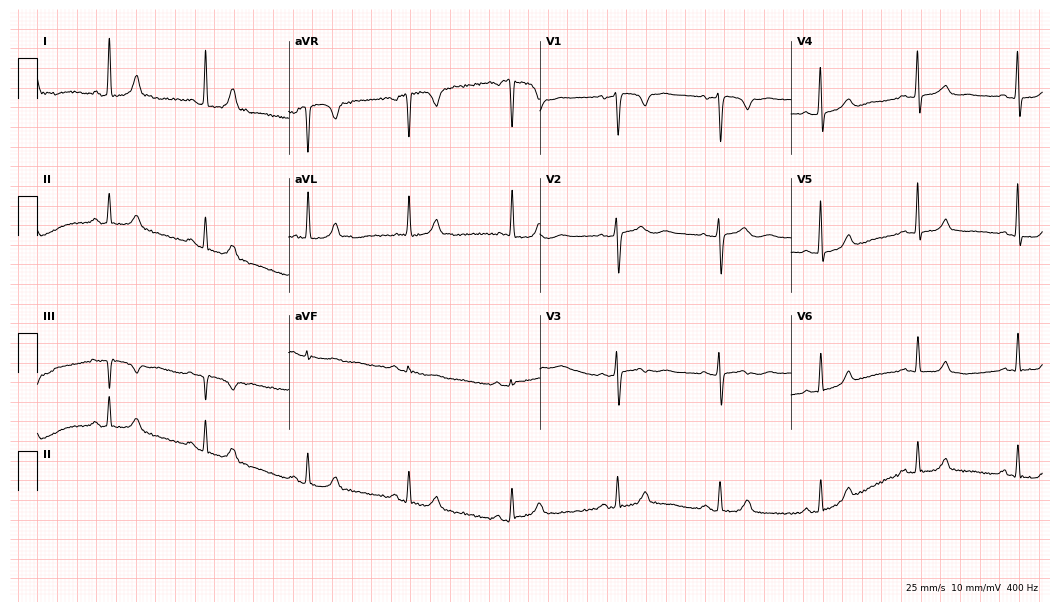
ECG (10.2-second recording at 400 Hz) — a 48-year-old female. Labelled as a normal ECG.